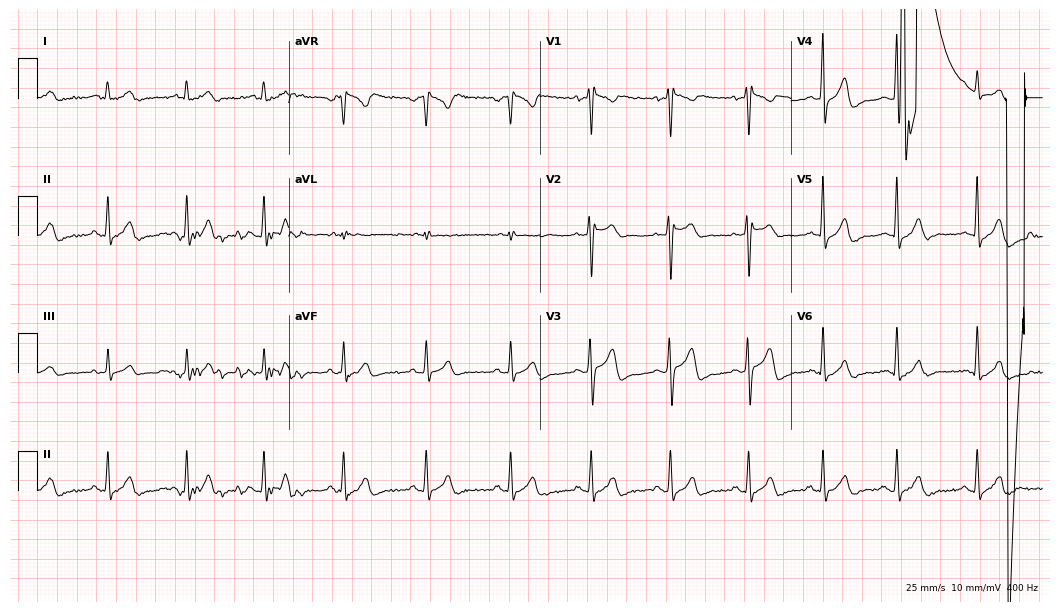
12-lead ECG (10.2-second recording at 400 Hz) from a man, 24 years old. Screened for six findings — first-degree AV block, right bundle branch block, left bundle branch block, sinus bradycardia, atrial fibrillation, sinus tachycardia — none is recorded.